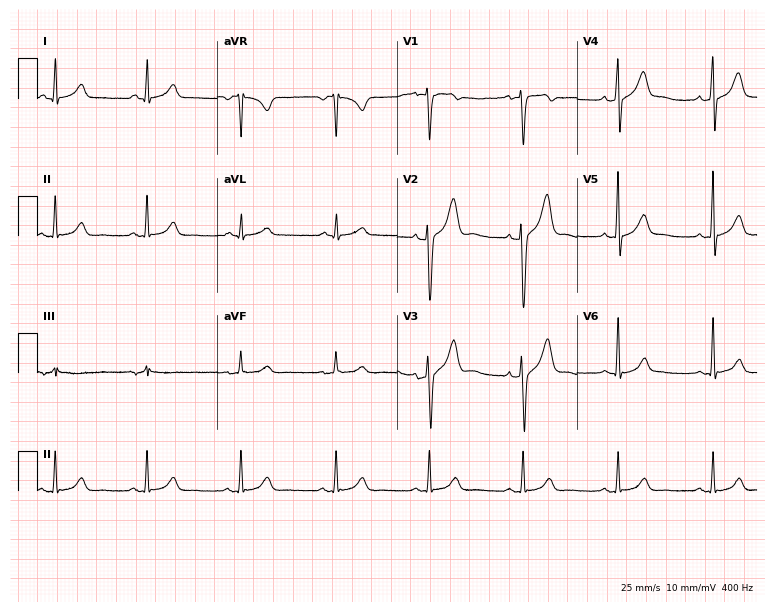
ECG (7.3-second recording at 400 Hz) — a male patient, 35 years old. Labelled as a normal ECG.